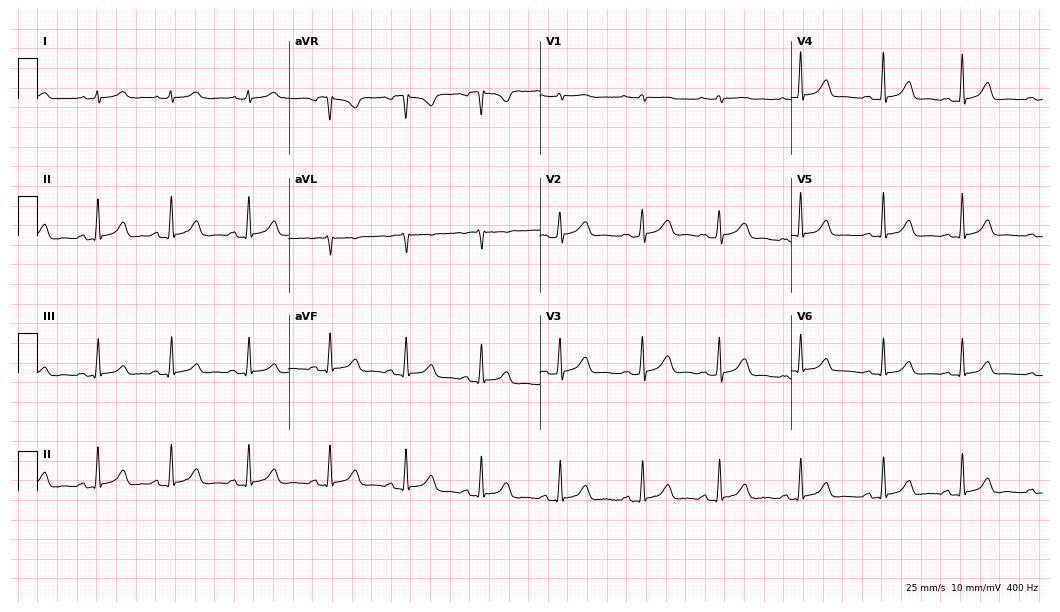
Resting 12-lead electrocardiogram. Patient: a female, 21 years old. None of these six findings is recorded: first-degree AV block, right bundle branch block (RBBB), left bundle branch block (LBBB), sinus bradycardia, atrial fibrillation (AF), sinus tachycardia.